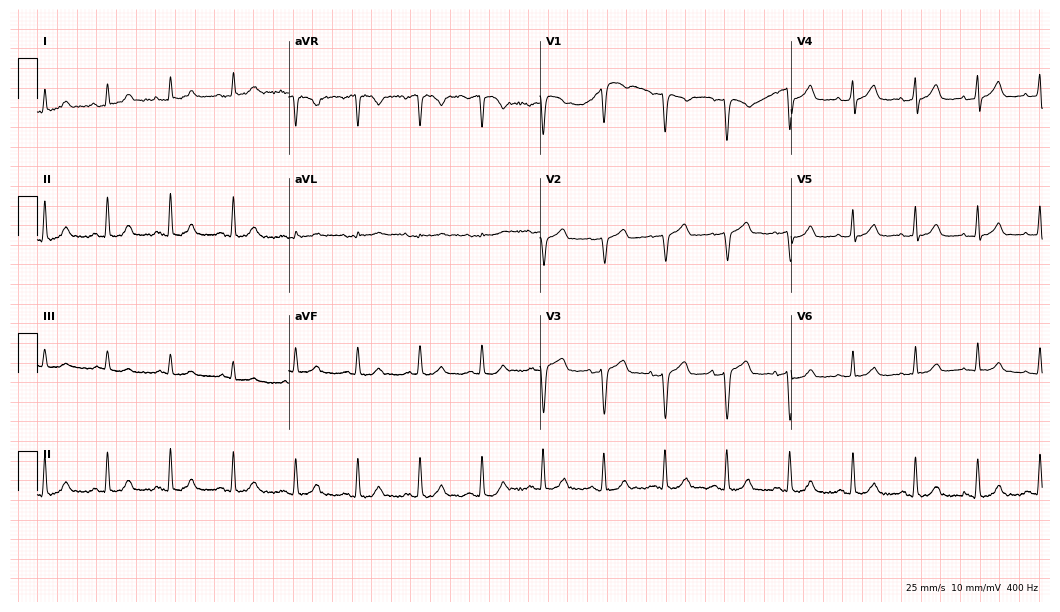
12-lead ECG (10.2-second recording at 400 Hz) from a 63-year-old female patient. Screened for six findings — first-degree AV block, right bundle branch block, left bundle branch block, sinus bradycardia, atrial fibrillation, sinus tachycardia — none is recorded. Findings outside these six are not listed.